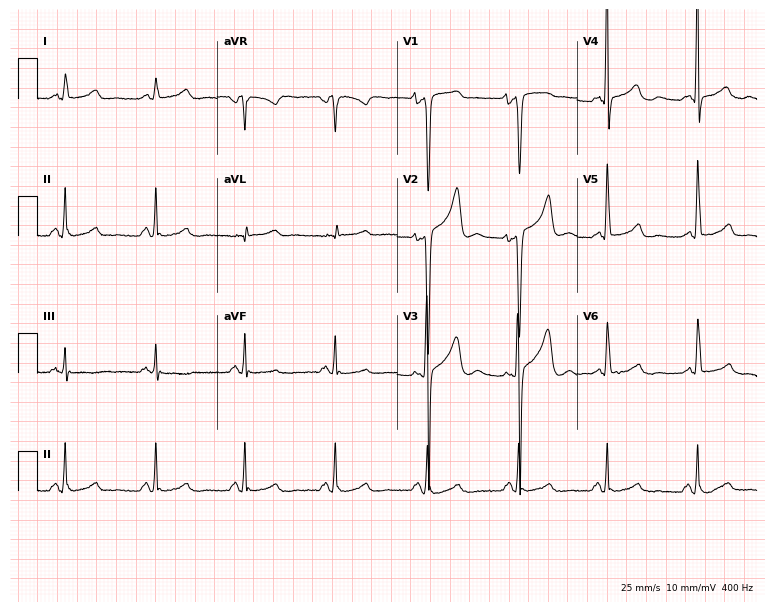
Resting 12-lead electrocardiogram. Patient: a 47-year-old male. None of these six findings is recorded: first-degree AV block, right bundle branch block, left bundle branch block, sinus bradycardia, atrial fibrillation, sinus tachycardia. Other findings, if any, are not listed.